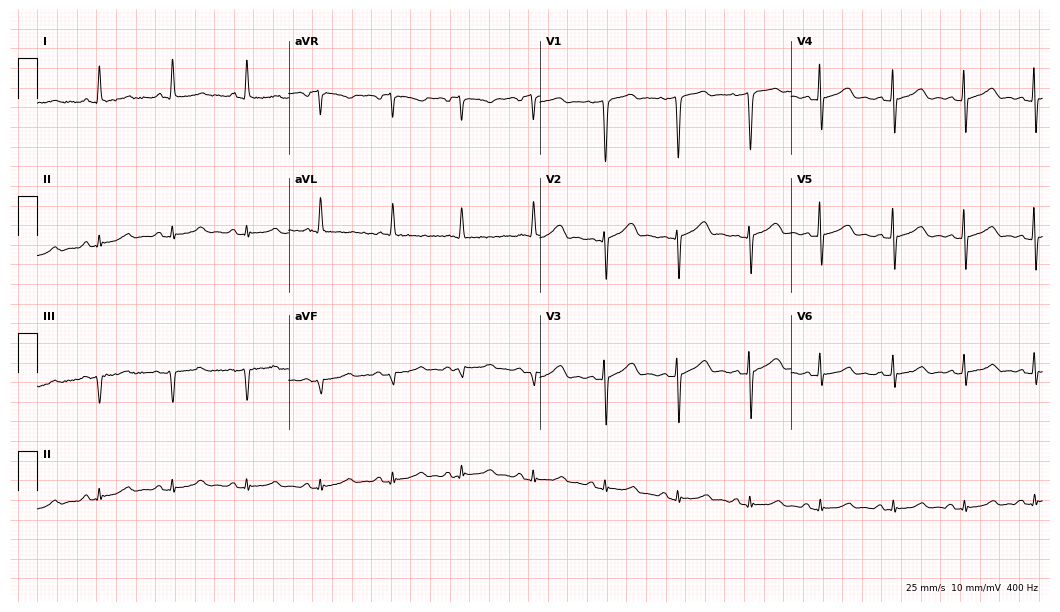
Electrocardiogram (10.2-second recording at 400 Hz), a 50-year-old female patient. Overall reading on record: normal ECG.